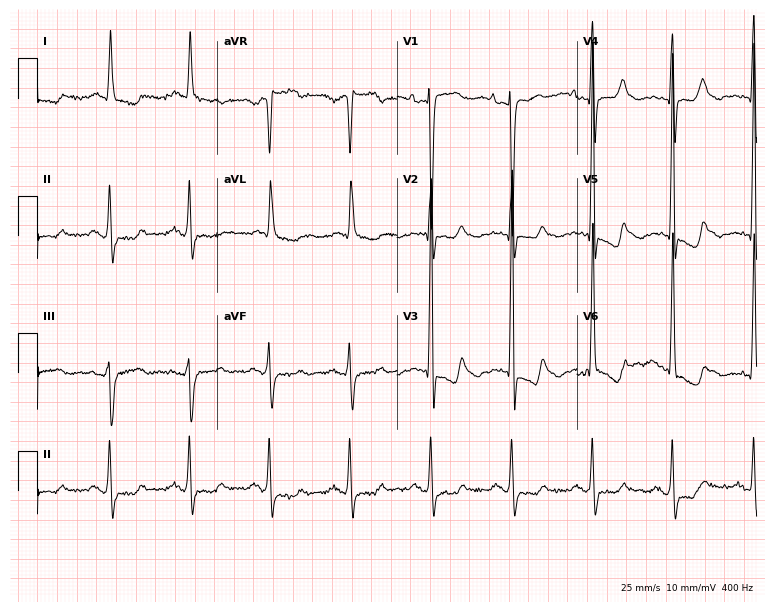
Resting 12-lead electrocardiogram. Patient: a female, 80 years old. None of these six findings is recorded: first-degree AV block, right bundle branch block, left bundle branch block, sinus bradycardia, atrial fibrillation, sinus tachycardia.